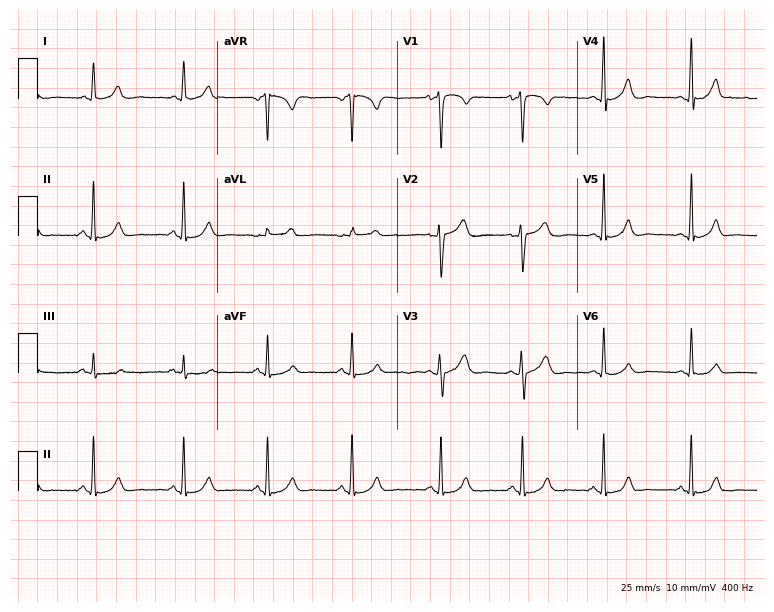
Resting 12-lead electrocardiogram (7.3-second recording at 400 Hz). Patient: a 25-year-old female. Read as a normal ECG.